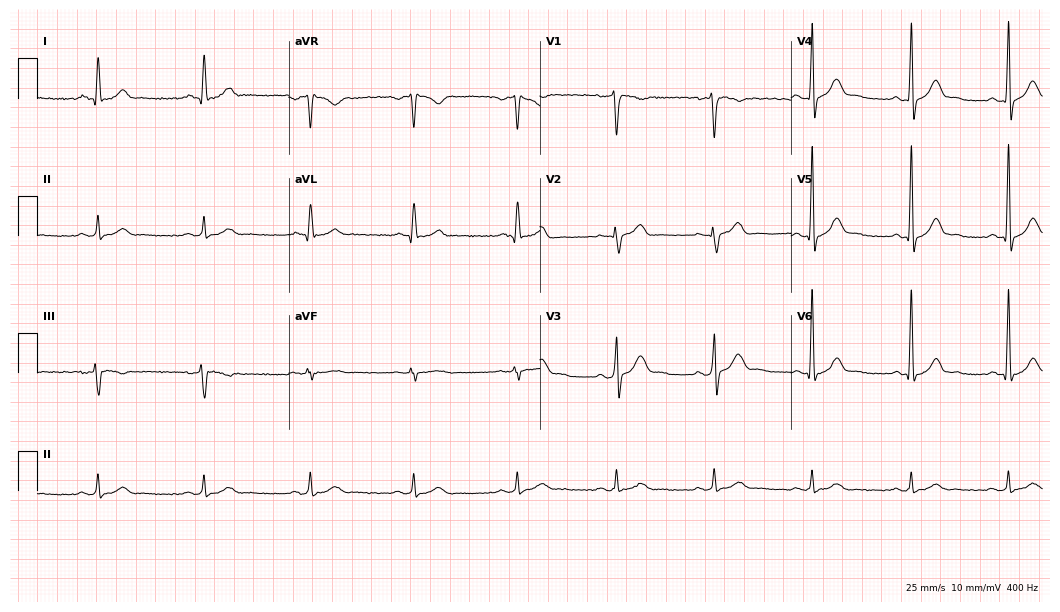
Resting 12-lead electrocardiogram. Patient: a male, 38 years old. None of these six findings is recorded: first-degree AV block, right bundle branch block (RBBB), left bundle branch block (LBBB), sinus bradycardia, atrial fibrillation (AF), sinus tachycardia. Other findings, if any, are not listed.